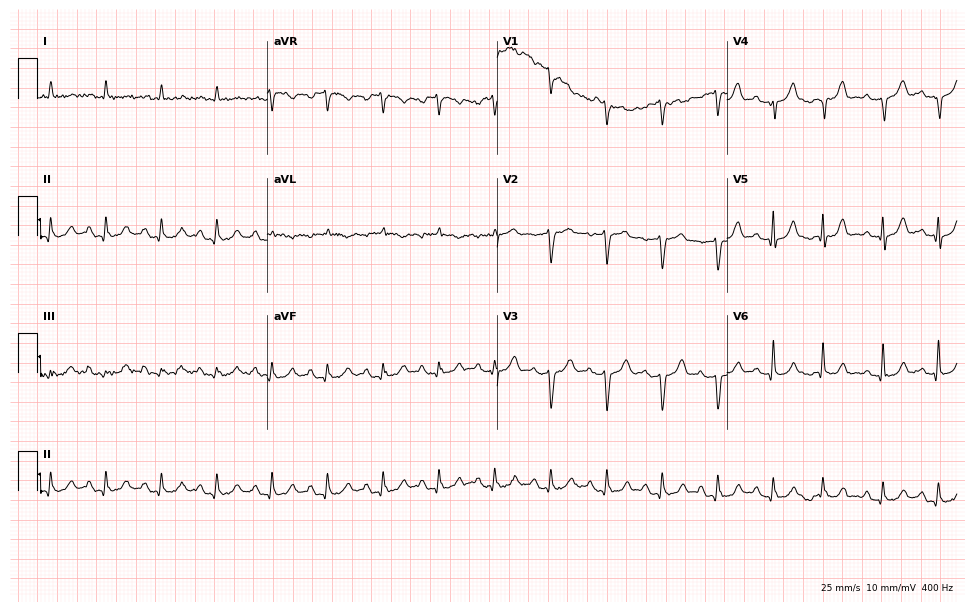
ECG — an 82-year-old woman. Findings include sinus tachycardia (a sinus rate of 100 beats per minute or more).